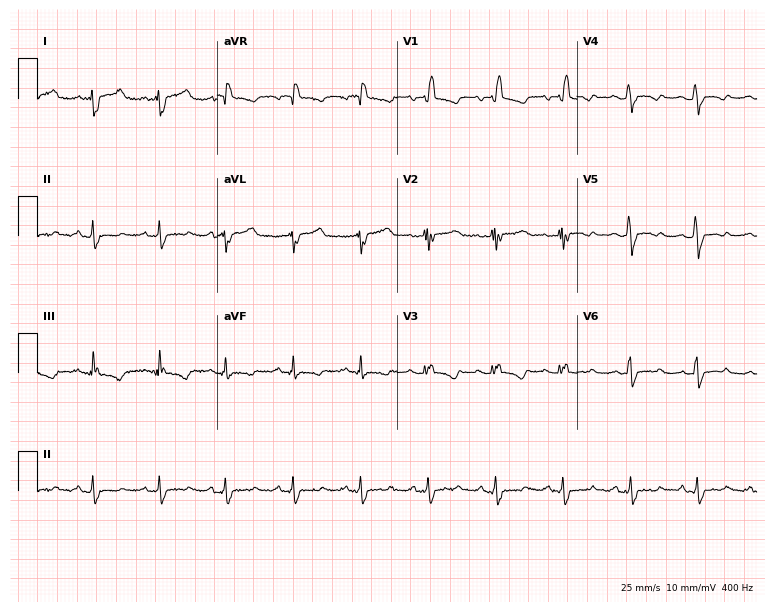
Resting 12-lead electrocardiogram (7.3-second recording at 400 Hz). Patient: a 65-year-old female. The tracing shows right bundle branch block (RBBB).